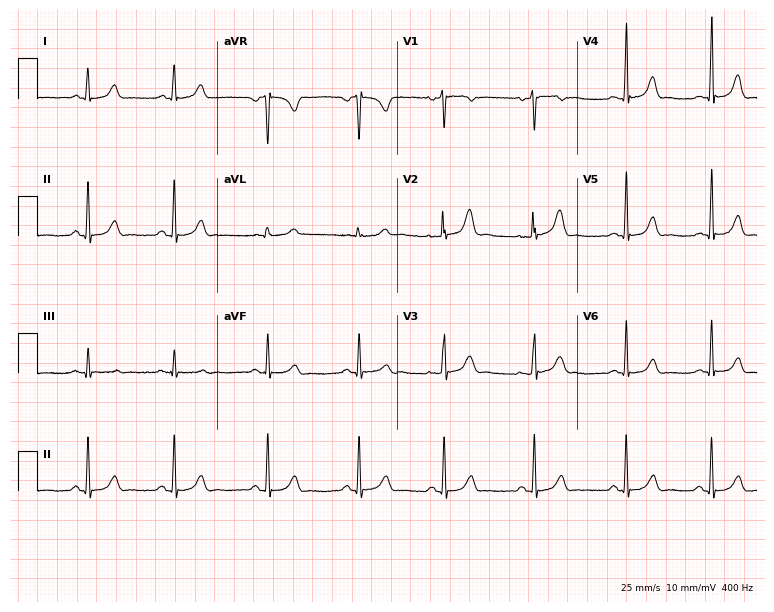
Electrocardiogram (7.3-second recording at 400 Hz), a 24-year-old woman. Overall reading on record: normal ECG.